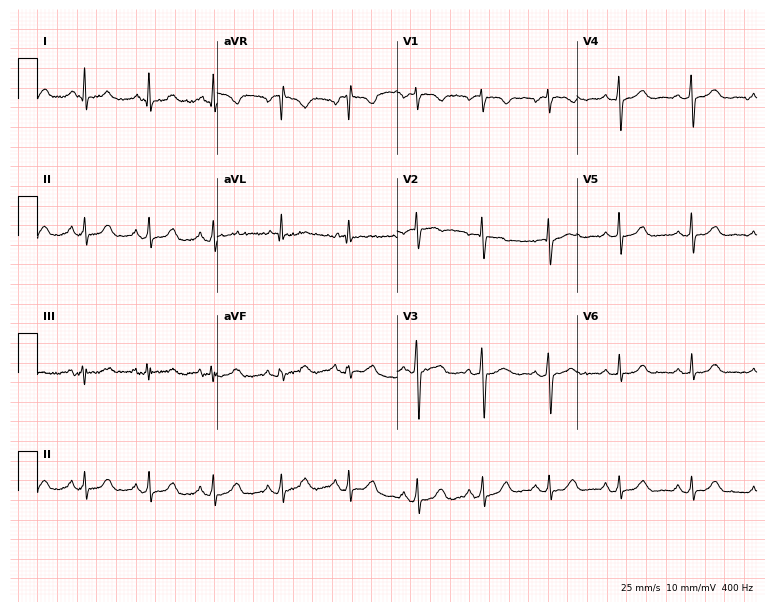
ECG (7.3-second recording at 400 Hz) — a female, 45 years old. Labelled as a normal ECG.